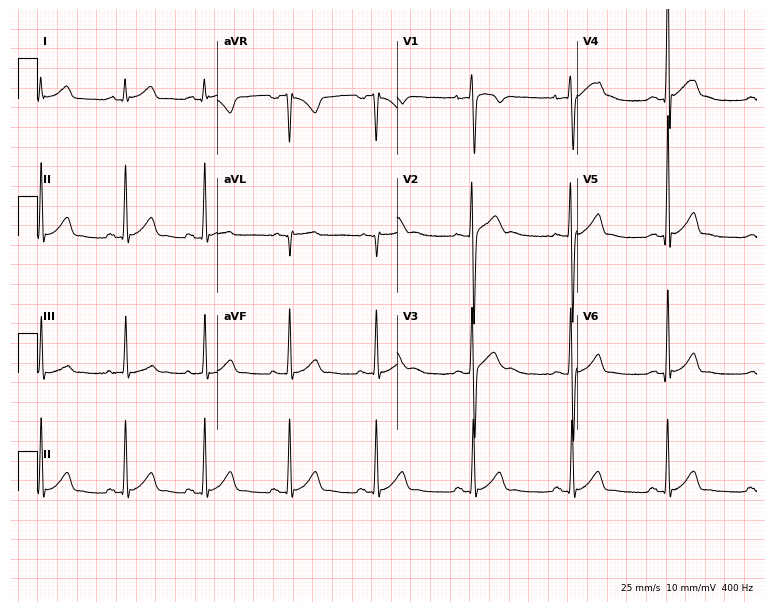
12-lead ECG from a 17-year-old male patient. Labelled as a normal ECG.